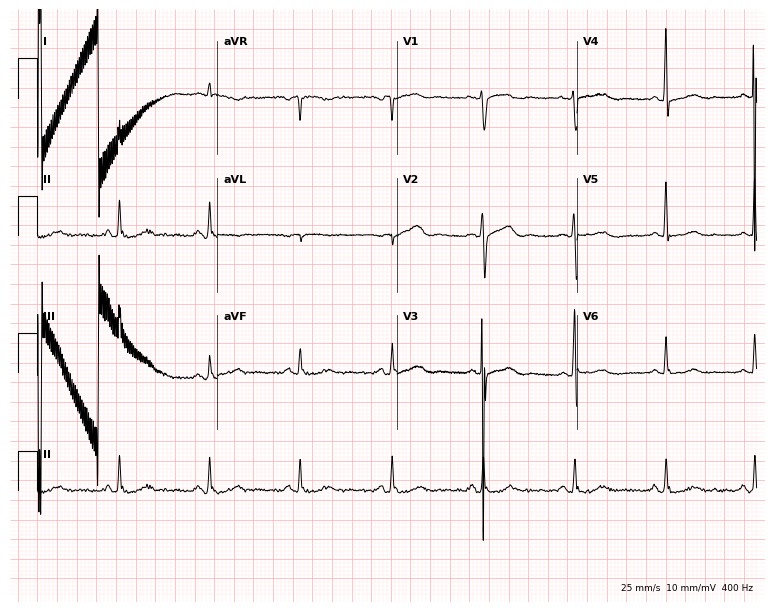
12-lead ECG from a woman, 74 years old (7.3-second recording at 400 Hz). No first-degree AV block, right bundle branch block, left bundle branch block, sinus bradycardia, atrial fibrillation or sinus tachycardia recorded for this tracing. Other findings, if any, are not listed.